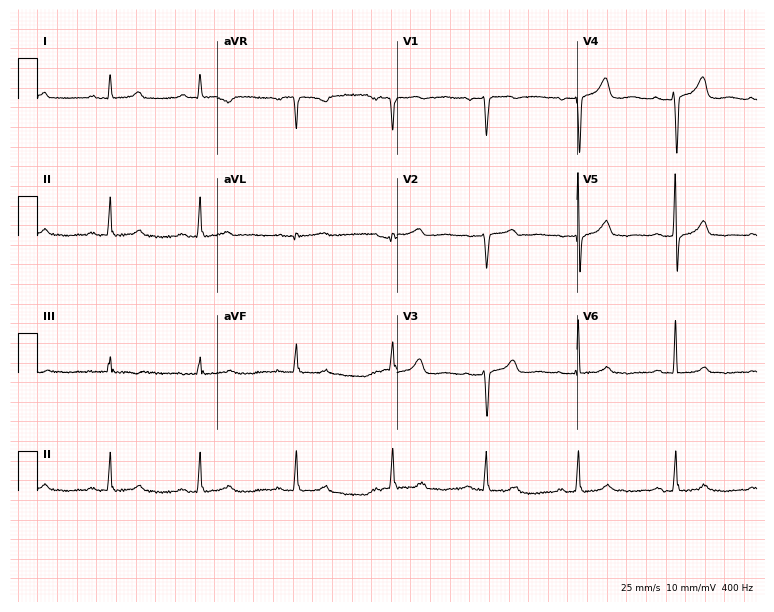
ECG (7.3-second recording at 400 Hz) — a 44-year-old female. Screened for six findings — first-degree AV block, right bundle branch block (RBBB), left bundle branch block (LBBB), sinus bradycardia, atrial fibrillation (AF), sinus tachycardia — none is recorded. Findings outside these six are not listed.